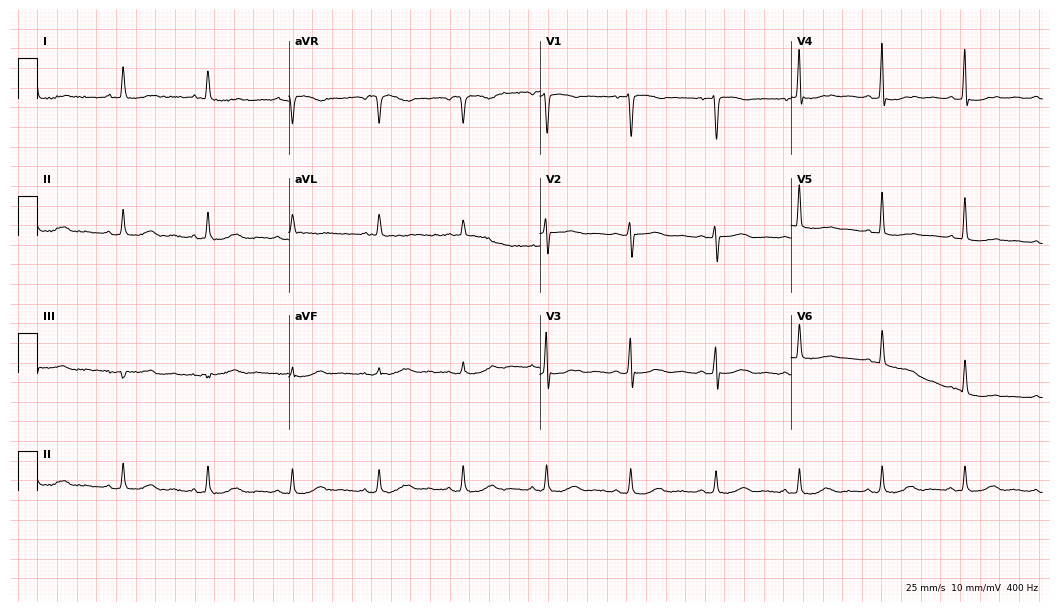
Standard 12-lead ECG recorded from a 75-year-old female (10.2-second recording at 400 Hz). None of these six findings is recorded: first-degree AV block, right bundle branch block (RBBB), left bundle branch block (LBBB), sinus bradycardia, atrial fibrillation (AF), sinus tachycardia. Only these six findings were labelled.